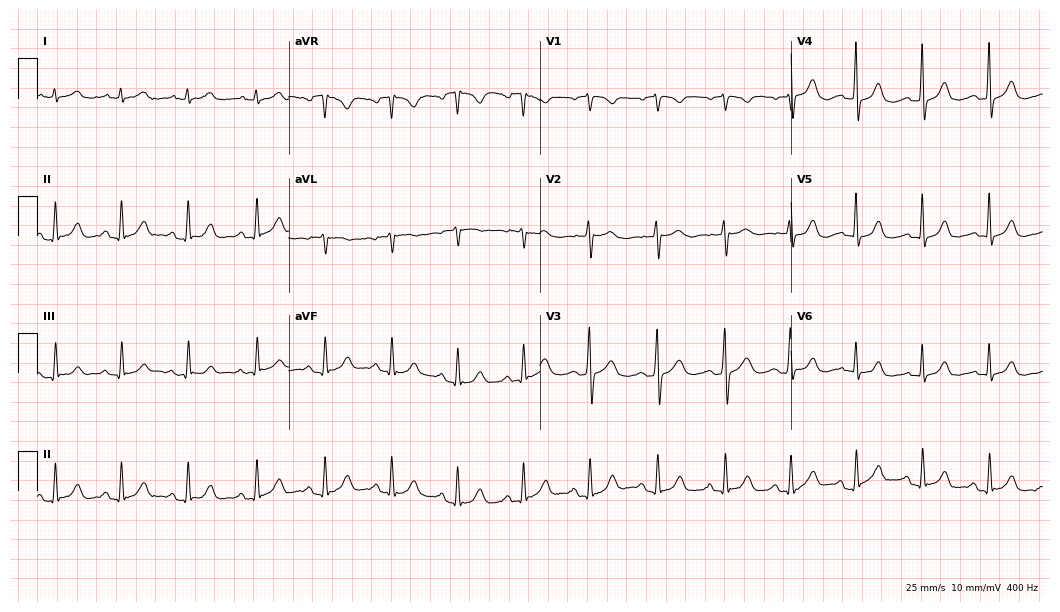
12-lead ECG (10.2-second recording at 400 Hz) from a woman, 47 years old. Screened for six findings — first-degree AV block, right bundle branch block, left bundle branch block, sinus bradycardia, atrial fibrillation, sinus tachycardia — none is recorded.